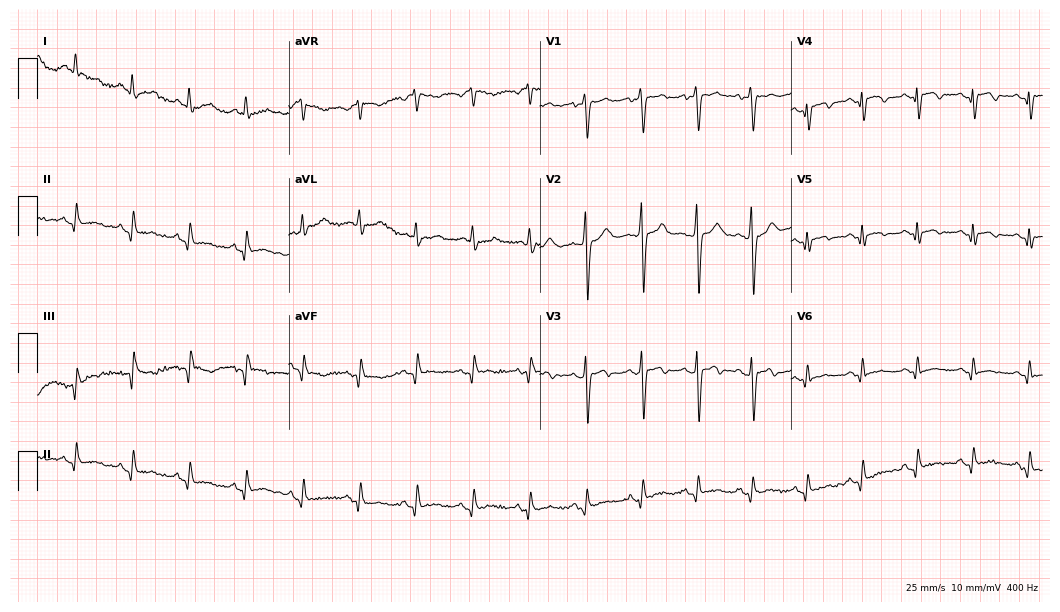
ECG (10.2-second recording at 400 Hz) — a male, 52 years old. Screened for six findings — first-degree AV block, right bundle branch block, left bundle branch block, sinus bradycardia, atrial fibrillation, sinus tachycardia — none is recorded.